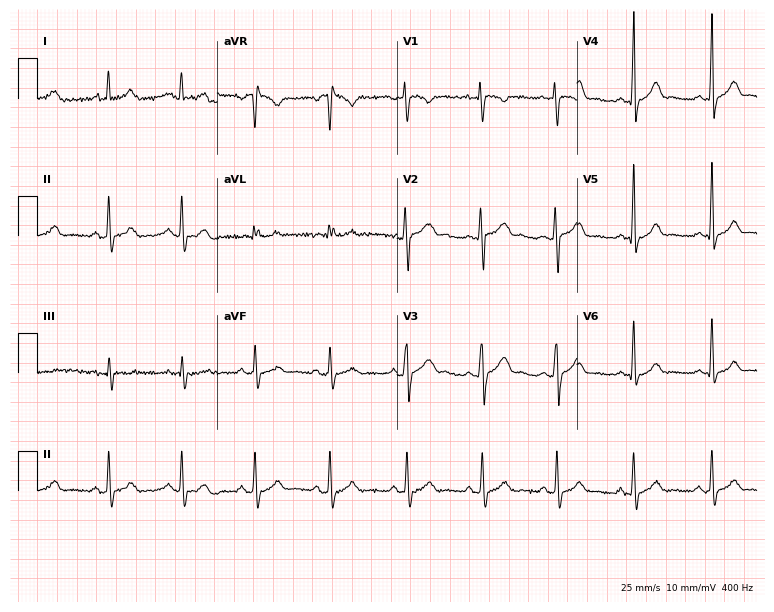
Resting 12-lead electrocardiogram (7.3-second recording at 400 Hz). Patient: a female, 31 years old. Read as a normal ECG.